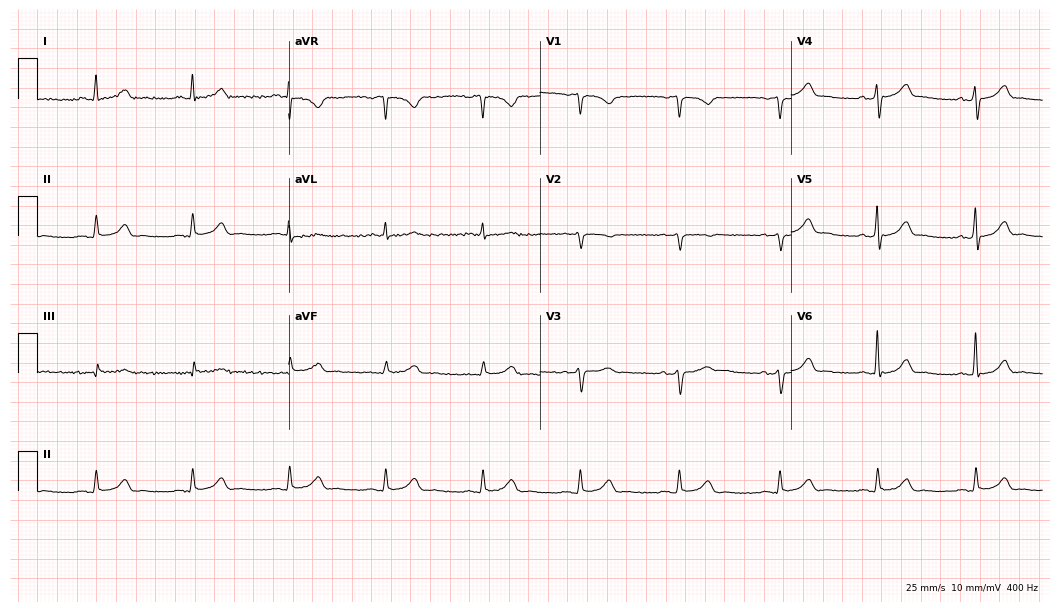
12-lead ECG from a 62-year-old male (10.2-second recording at 400 Hz). No first-degree AV block, right bundle branch block (RBBB), left bundle branch block (LBBB), sinus bradycardia, atrial fibrillation (AF) or sinus tachycardia recorded for this tracing. Only these six findings were labelled.